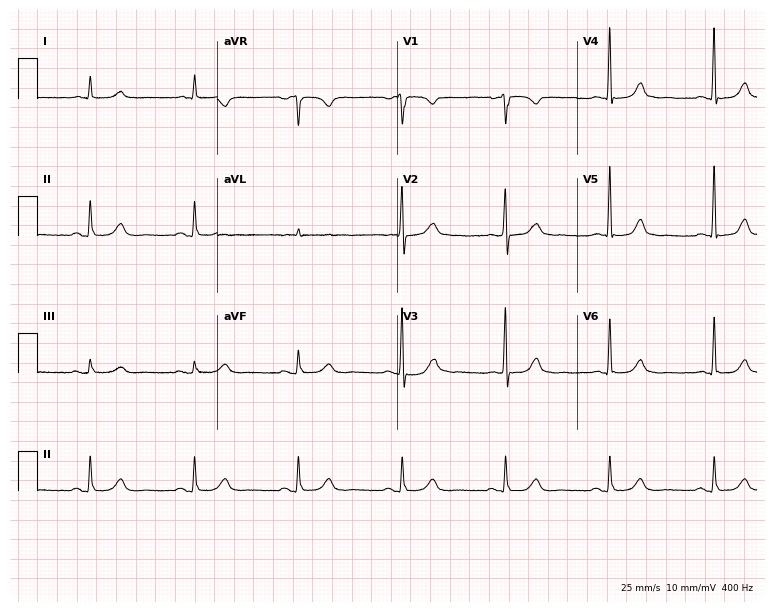
12-lead ECG (7.3-second recording at 400 Hz) from an 84-year-old male. Labelled as a normal ECG.